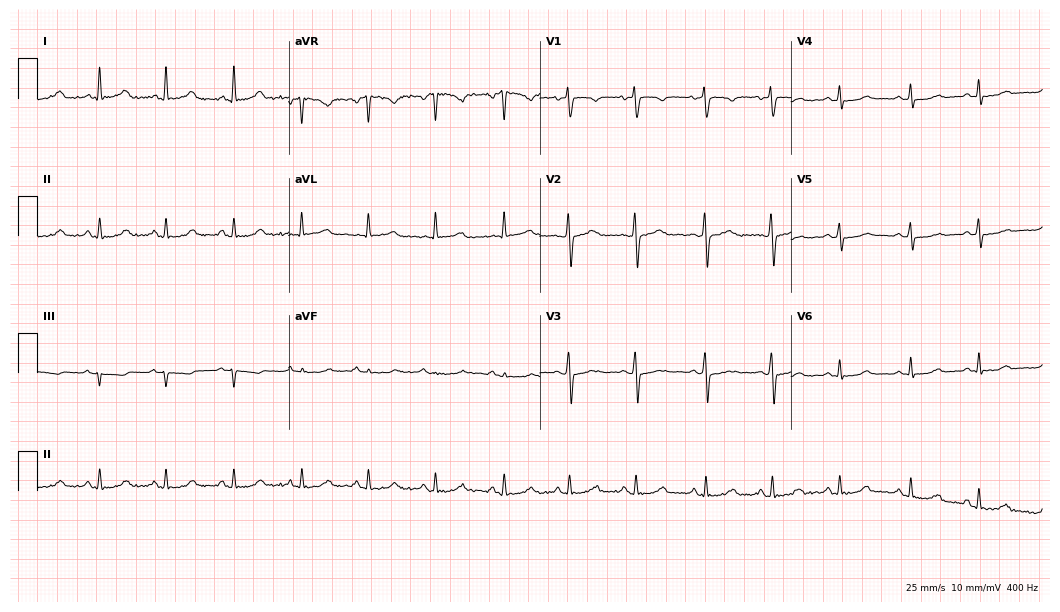
12-lead ECG from a female, 53 years old. Labelled as a normal ECG.